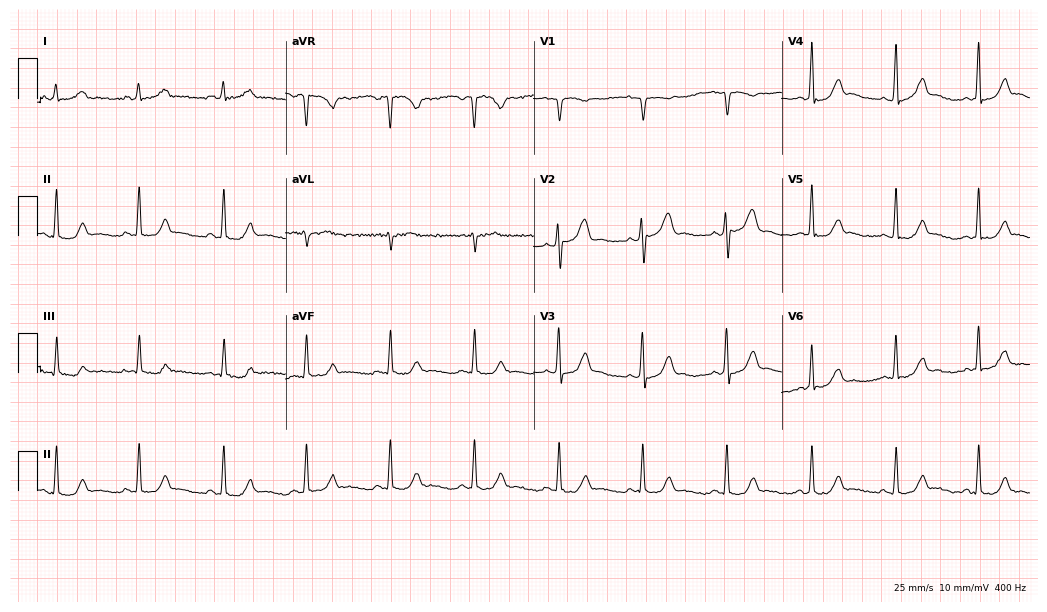
Resting 12-lead electrocardiogram. Patient: a female, 25 years old. Read as a normal ECG.